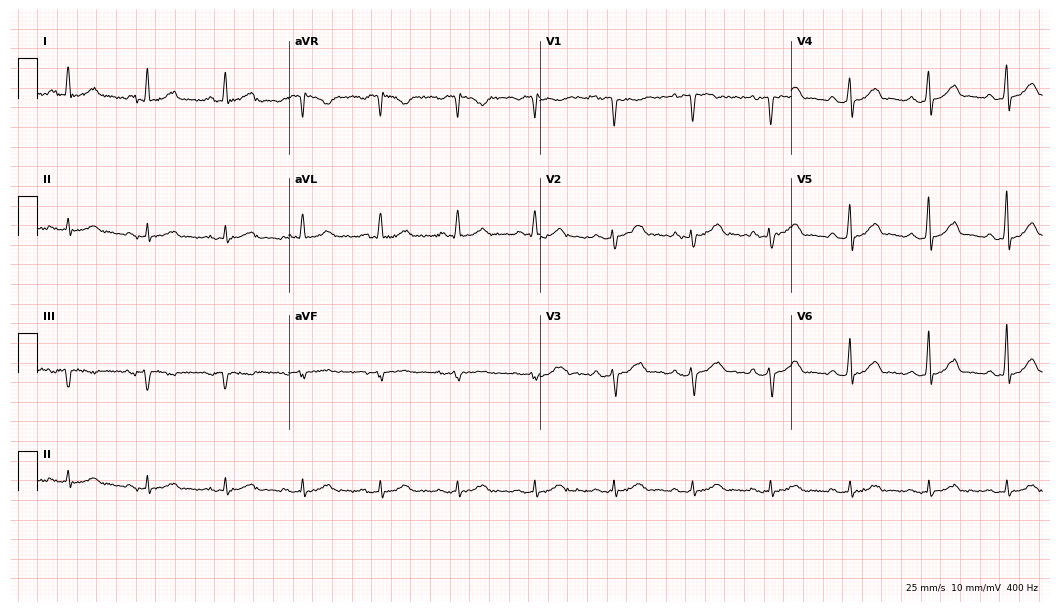
12-lead ECG (10.2-second recording at 400 Hz) from a man, 58 years old. Screened for six findings — first-degree AV block, right bundle branch block, left bundle branch block, sinus bradycardia, atrial fibrillation, sinus tachycardia — none is recorded. Other findings, if any, are not listed.